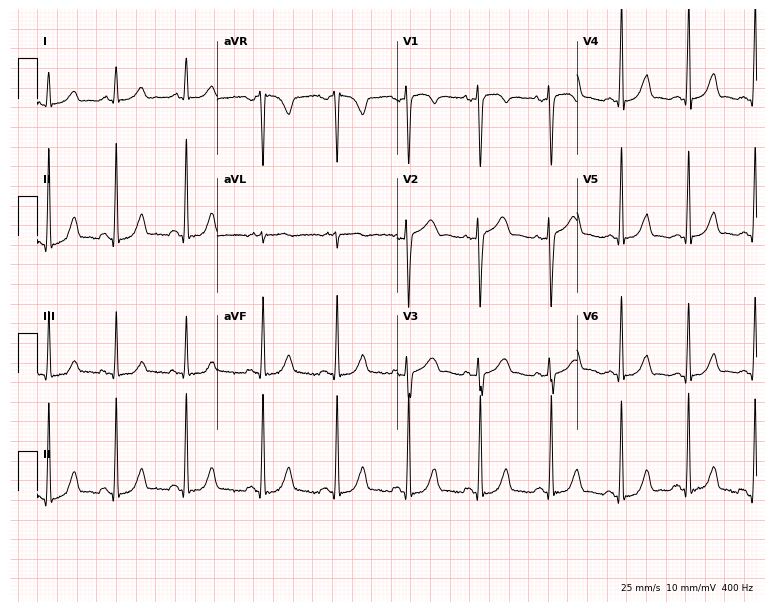
12-lead ECG (7.3-second recording at 400 Hz) from a 35-year-old female patient. Labelled as a normal ECG.